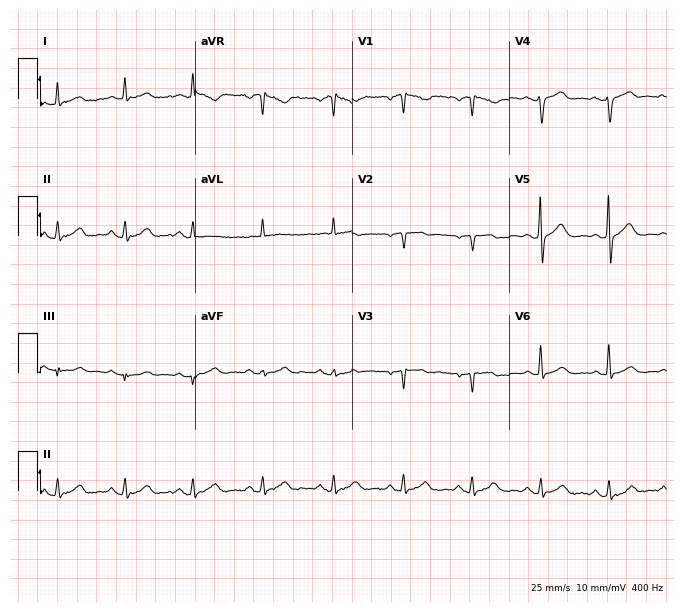
12-lead ECG from a male, 66 years old (6.4-second recording at 400 Hz). No first-degree AV block, right bundle branch block, left bundle branch block, sinus bradycardia, atrial fibrillation or sinus tachycardia recorded for this tracing. Other findings, if any, are not listed.